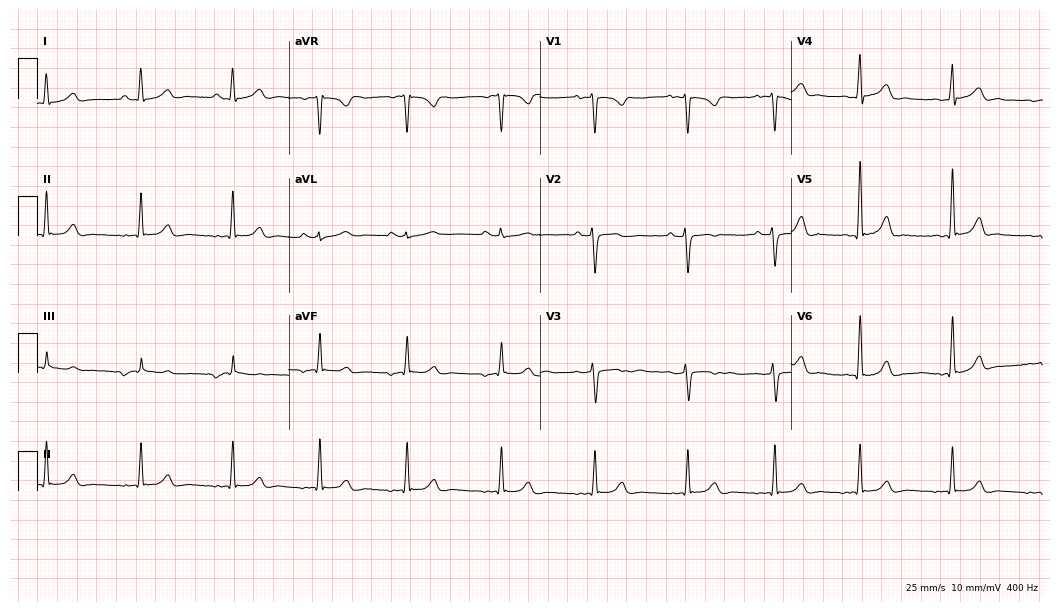
12-lead ECG from a 24-year-old woman. Labelled as a normal ECG.